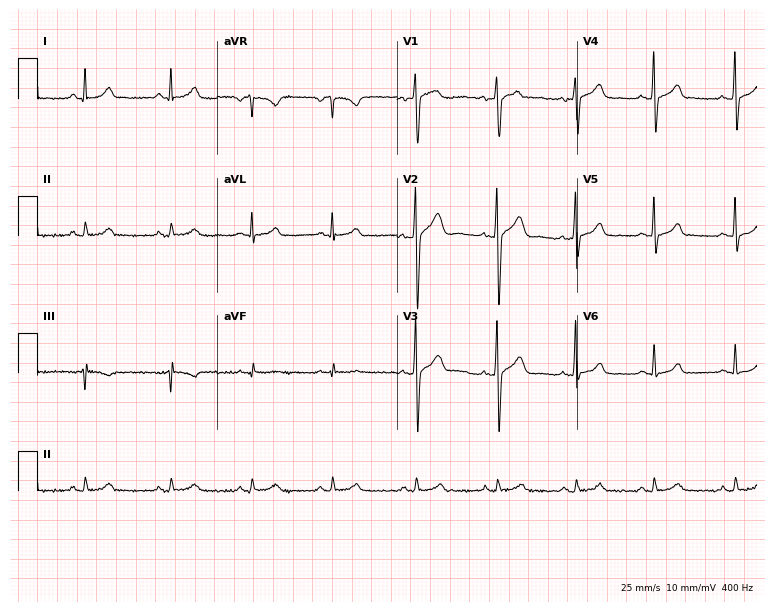
12-lead ECG from a man, 26 years old (7.3-second recording at 400 Hz). Recorded interpretation: within normal limits.